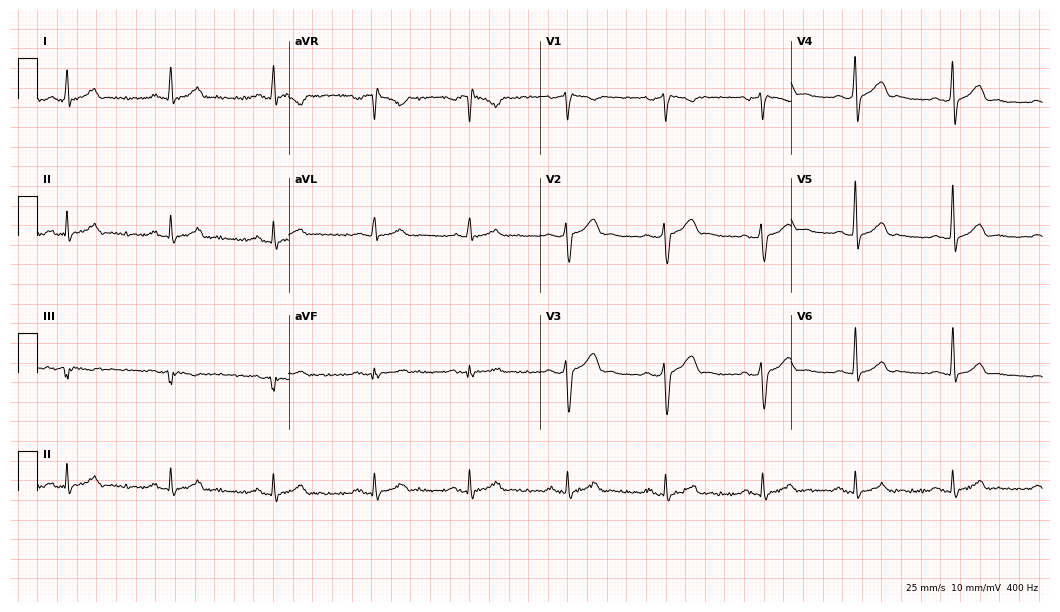
Standard 12-lead ECG recorded from a male, 43 years old. Read as a normal ECG.